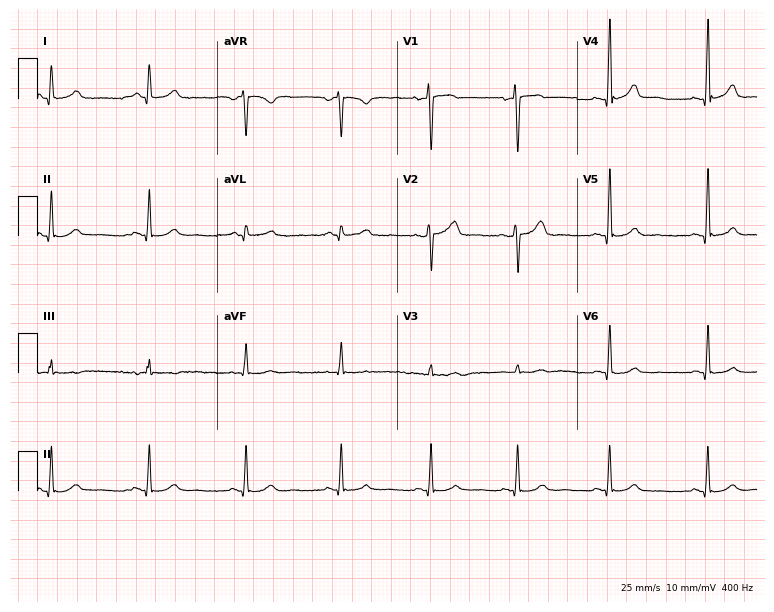
Electrocardiogram, a 47-year-old male. Overall reading on record: normal ECG.